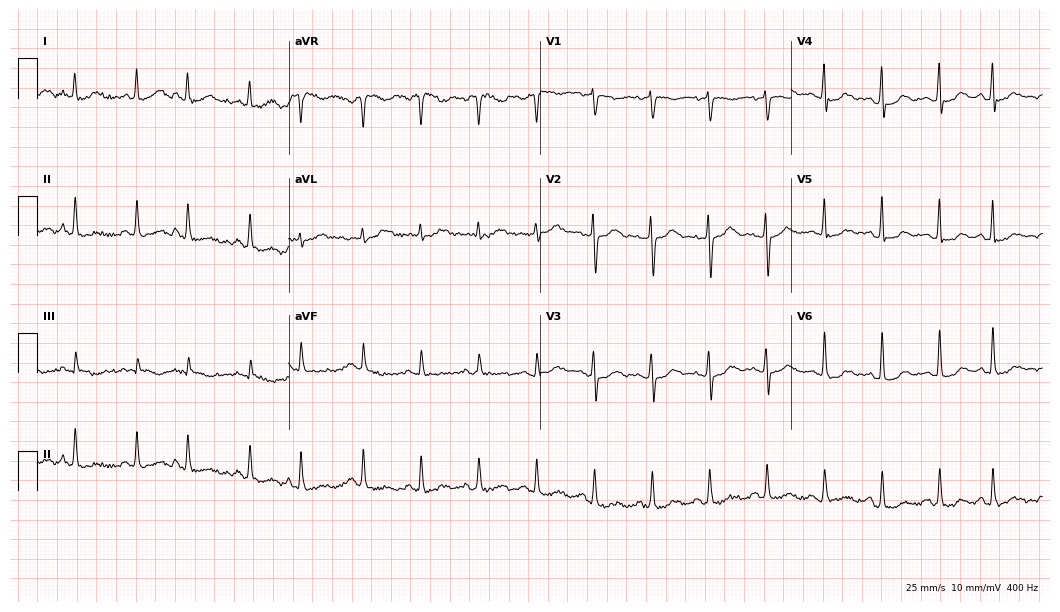
Resting 12-lead electrocardiogram. Patient: a 61-year-old female. None of these six findings is recorded: first-degree AV block, right bundle branch block, left bundle branch block, sinus bradycardia, atrial fibrillation, sinus tachycardia. Findings outside these six are not listed.